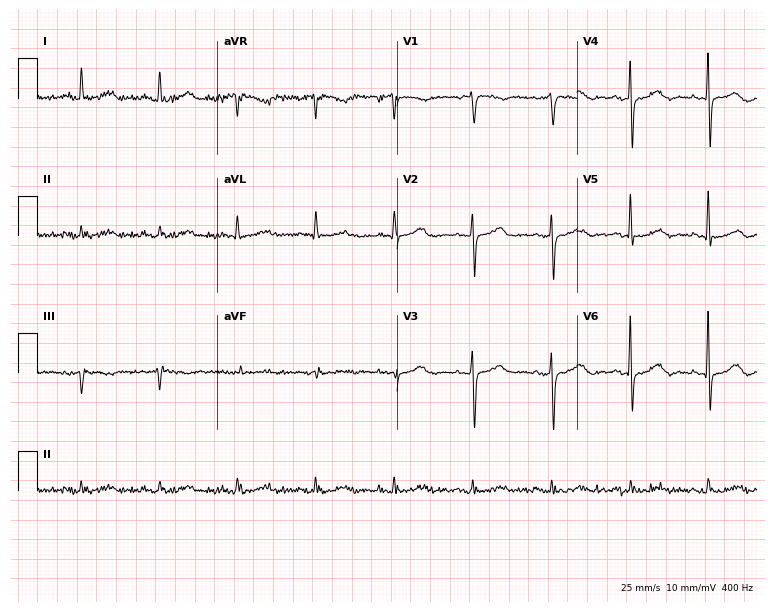
Resting 12-lead electrocardiogram (7.3-second recording at 400 Hz). Patient: a female, 85 years old. Read as a normal ECG.